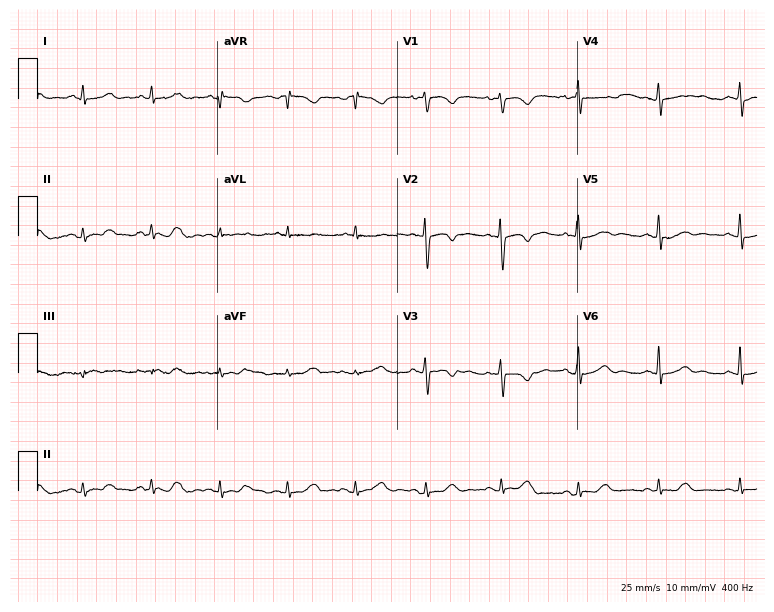
Electrocardiogram, a 31-year-old female. Of the six screened findings (first-degree AV block, right bundle branch block (RBBB), left bundle branch block (LBBB), sinus bradycardia, atrial fibrillation (AF), sinus tachycardia), none is recorded. Only these six findings were labelled.